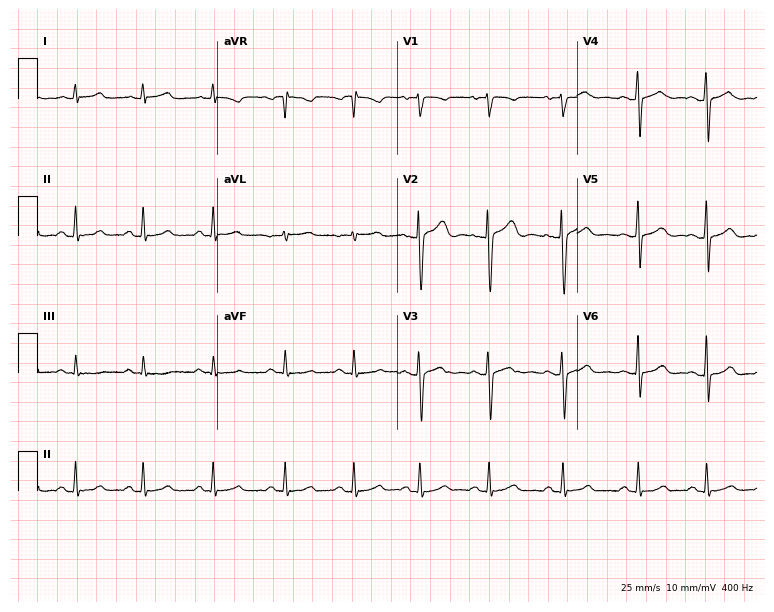
Standard 12-lead ECG recorded from a 22-year-old female patient. Read as a normal ECG.